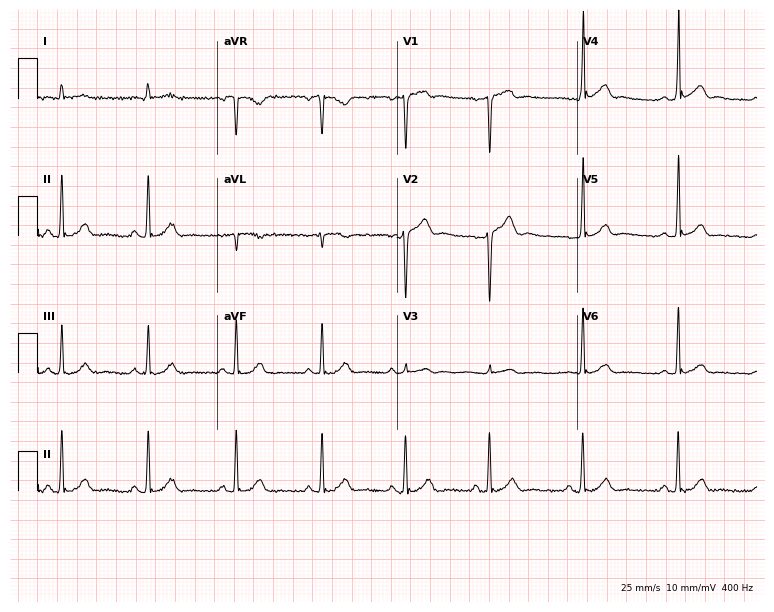
12-lead ECG from a 29-year-old male patient. Recorded interpretation: within normal limits.